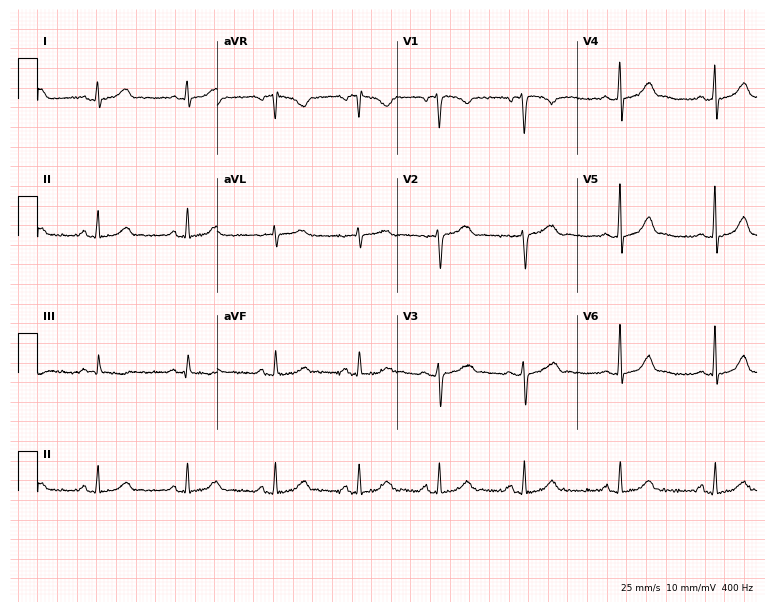
Standard 12-lead ECG recorded from a 24-year-old woman (7.3-second recording at 400 Hz). Read as a normal ECG.